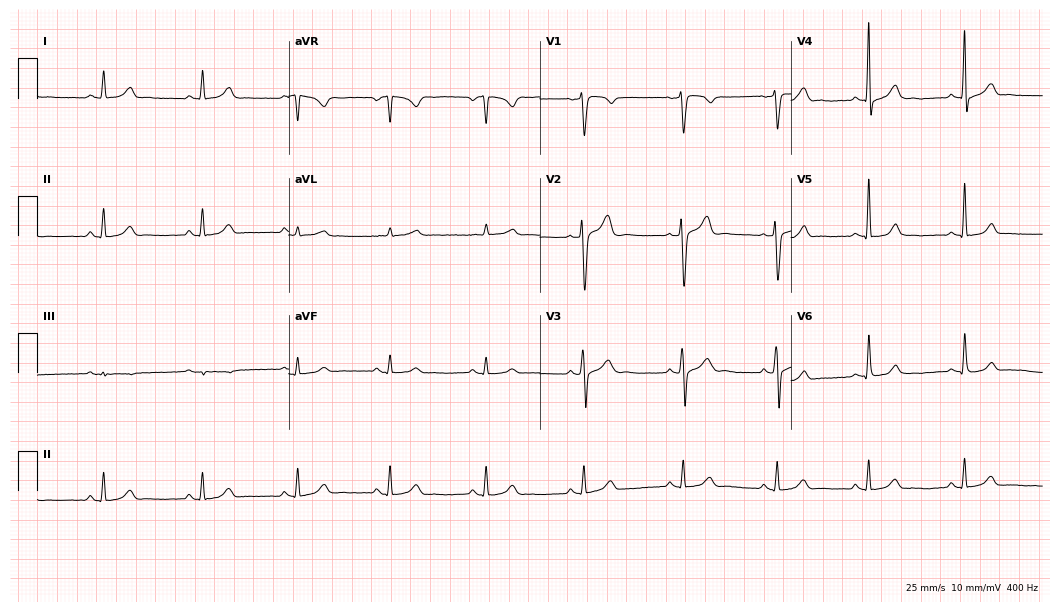
12-lead ECG from a man, 48 years old (10.2-second recording at 400 Hz). Recorded interpretation: within normal limits.